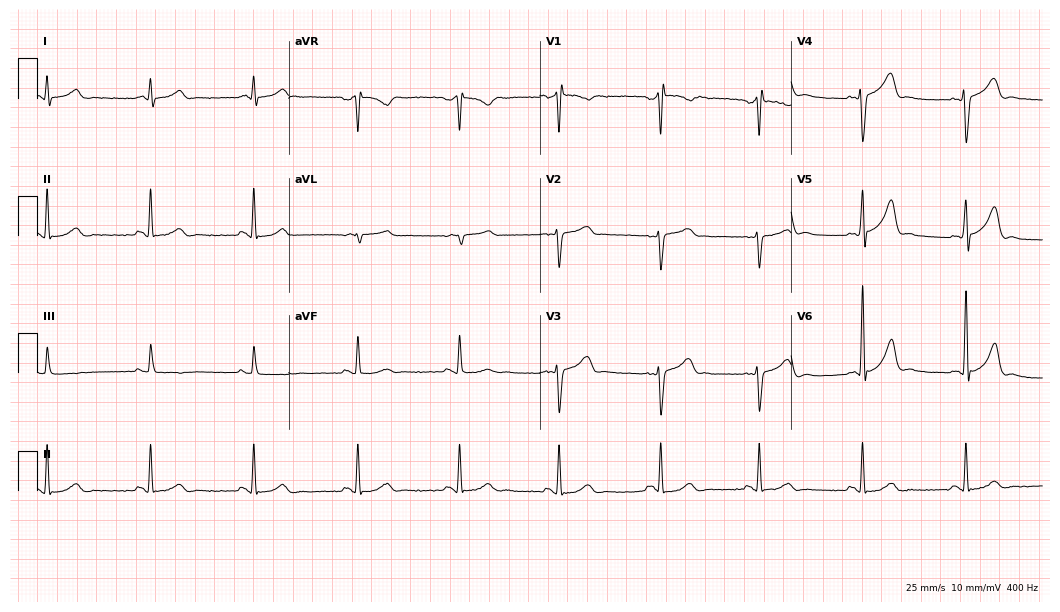
12-lead ECG from a man, 41 years old. Labelled as a normal ECG.